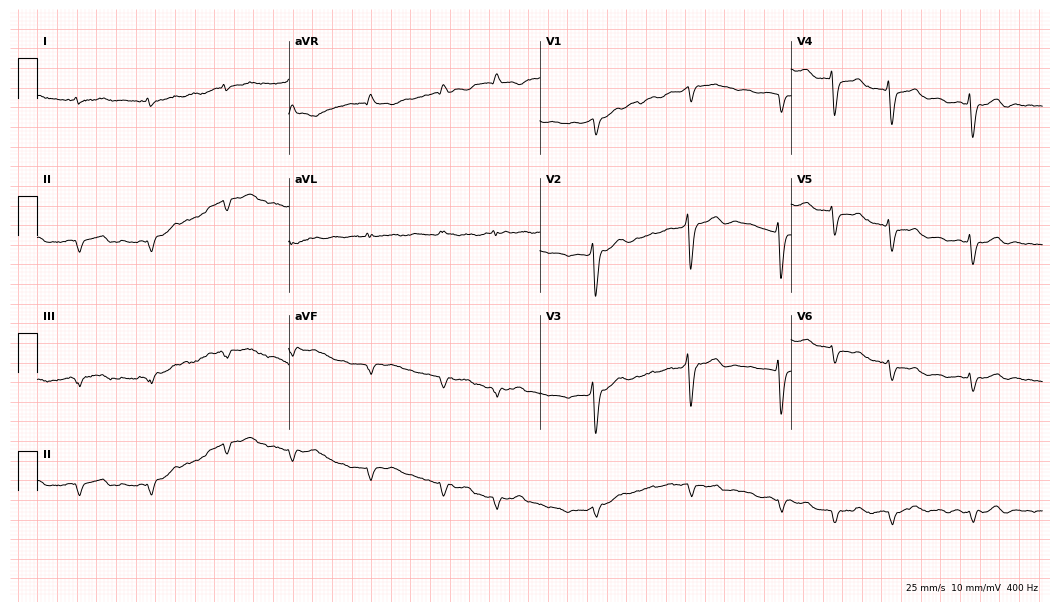
Resting 12-lead electrocardiogram (10.2-second recording at 400 Hz). Patient: a female, 80 years old. The tracing shows atrial fibrillation (AF).